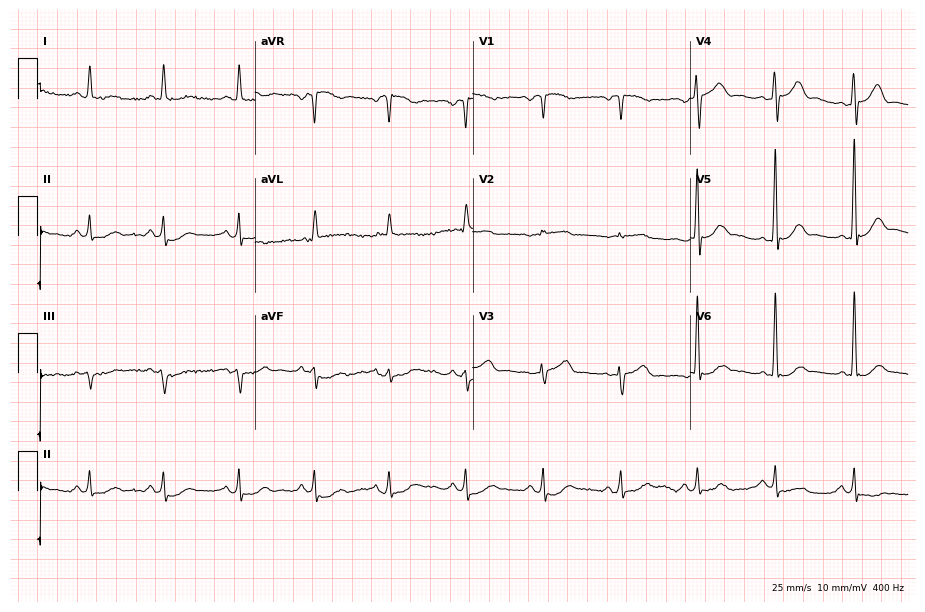
Standard 12-lead ECG recorded from a 75-year-old man. Read as a normal ECG.